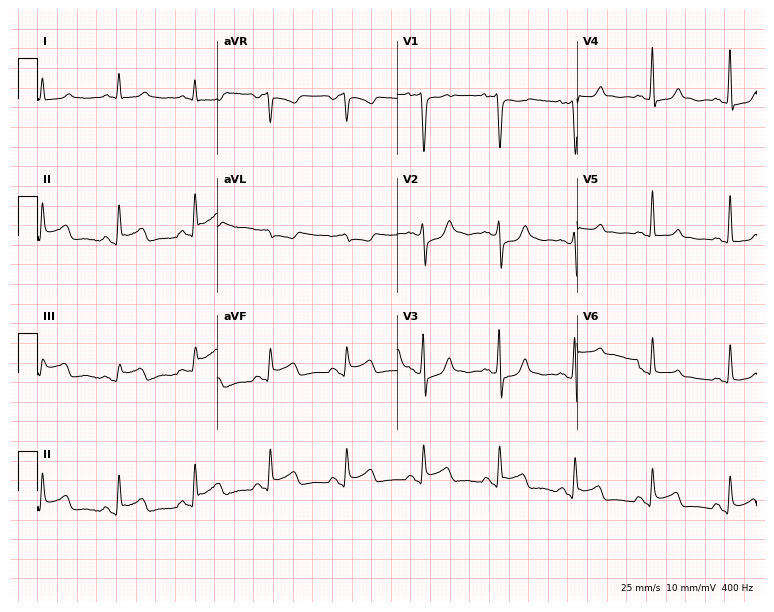
Electrocardiogram (7.3-second recording at 400 Hz), a 54-year-old man. Of the six screened findings (first-degree AV block, right bundle branch block, left bundle branch block, sinus bradycardia, atrial fibrillation, sinus tachycardia), none is recorded.